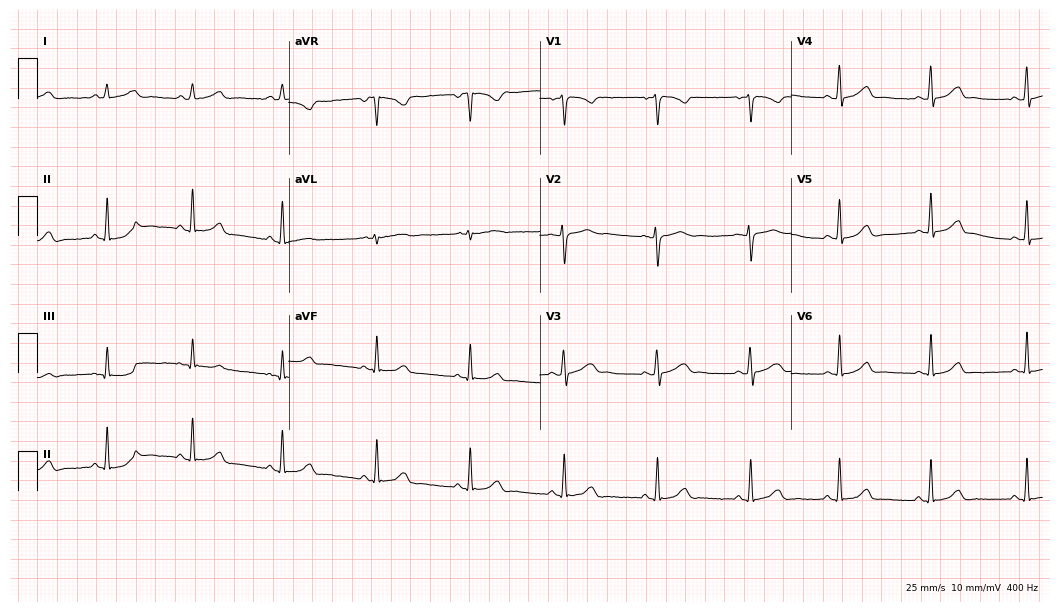
12-lead ECG (10.2-second recording at 400 Hz) from a female, 26 years old. Labelled as a normal ECG.